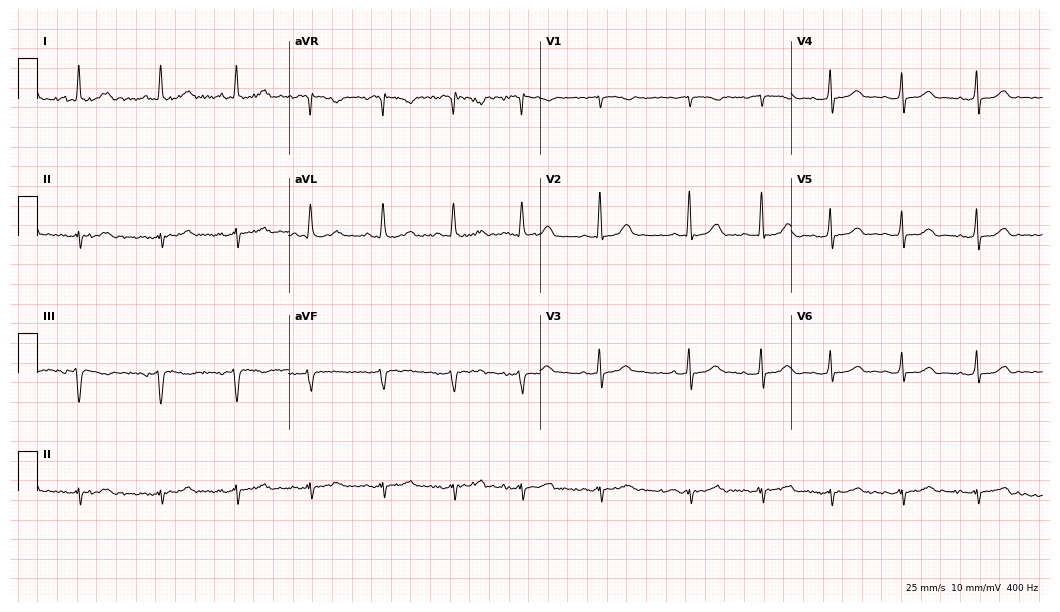
Resting 12-lead electrocardiogram. Patient: a female, 80 years old. None of these six findings is recorded: first-degree AV block, right bundle branch block, left bundle branch block, sinus bradycardia, atrial fibrillation, sinus tachycardia.